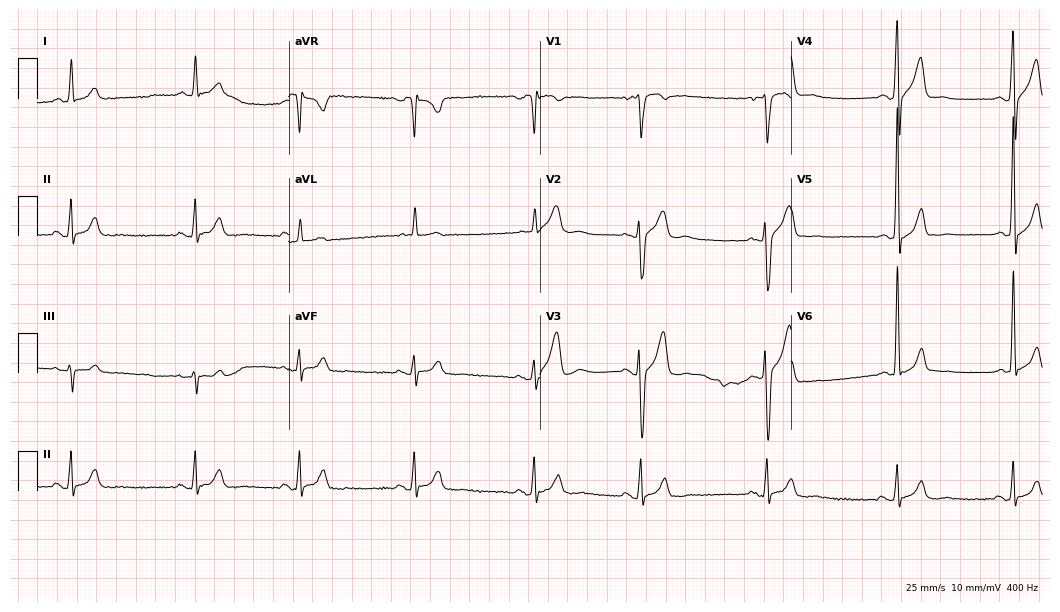
12-lead ECG from a 25-year-old male patient (10.2-second recording at 400 Hz). No first-degree AV block, right bundle branch block (RBBB), left bundle branch block (LBBB), sinus bradycardia, atrial fibrillation (AF) or sinus tachycardia recorded for this tracing. Other findings, if any, are not listed.